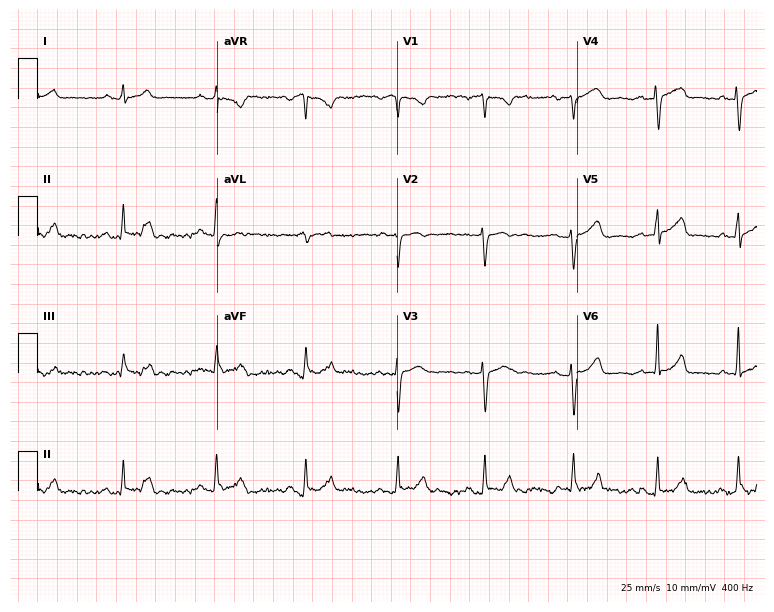
Resting 12-lead electrocardiogram (7.3-second recording at 400 Hz). Patient: a 23-year-old female. Read as a normal ECG.